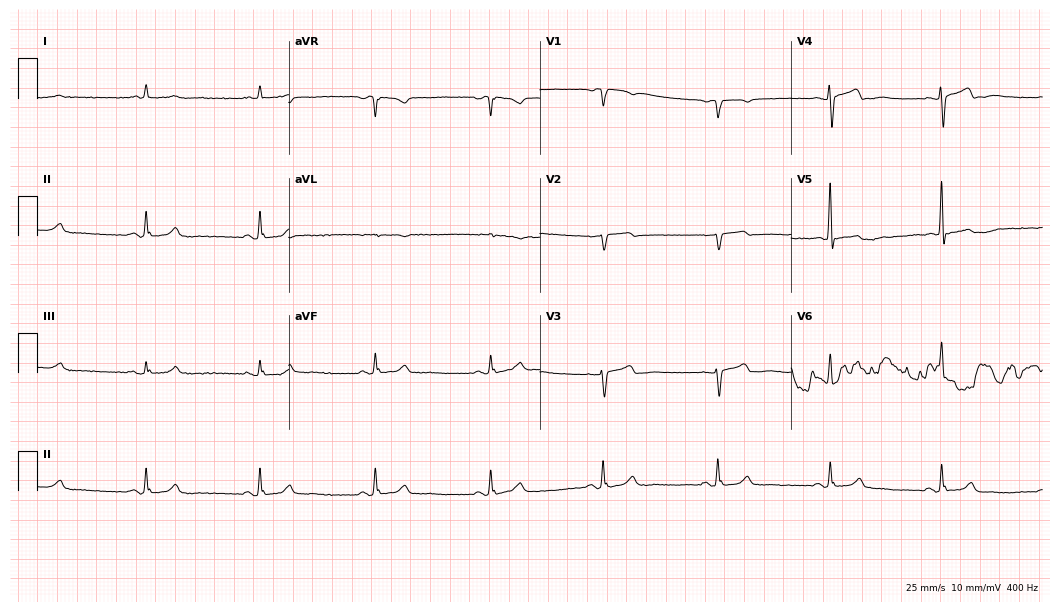
12-lead ECG (10.2-second recording at 400 Hz) from an 80-year-old male. Screened for six findings — first-degree AV block, right bundle branch block, left bundle branch block, sinus bradycardia, atrial fibrillation, sinus tachycardia — none is recorded. Only these six findings were labelled.